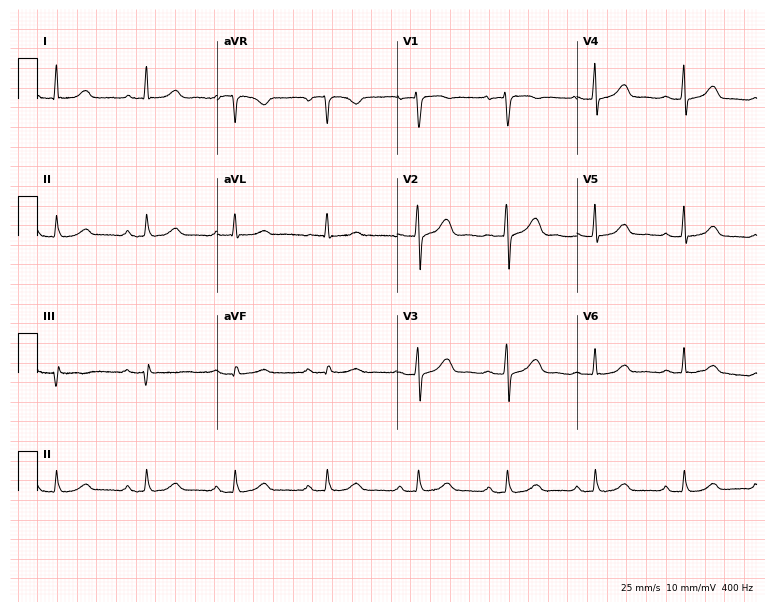
Electrocardiogram, a female patient, 62 years old. Interpretation includes first-degree AV block.